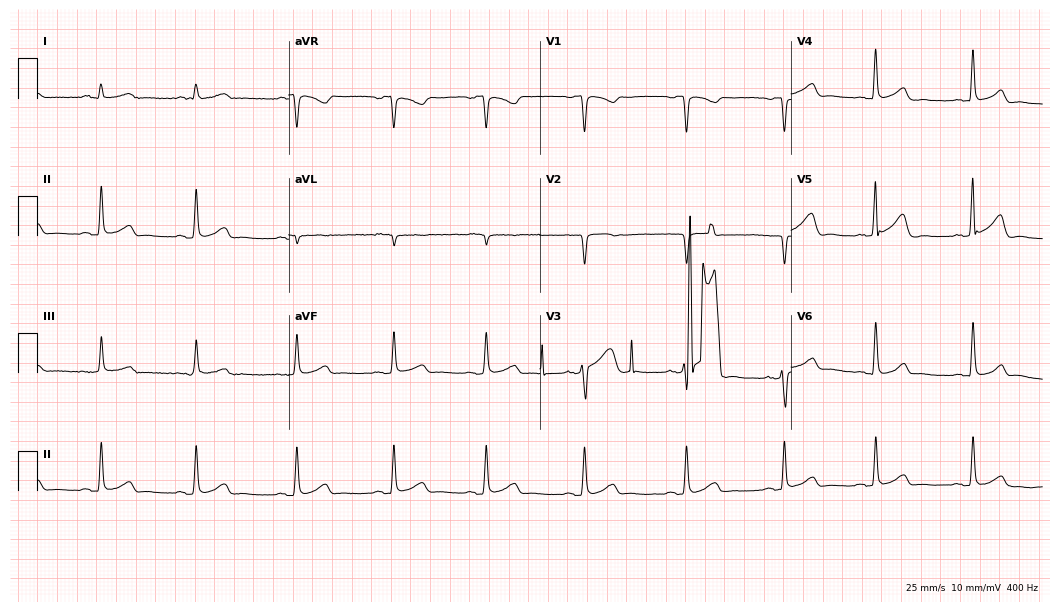
ECG — a male patient, 46 years old. Screened for six findings — first-degree AV block, right bundle branch block, left bundle branch block, sinus bradycardia, atrial fibrillation, sinus tachycardia — none is recorded.